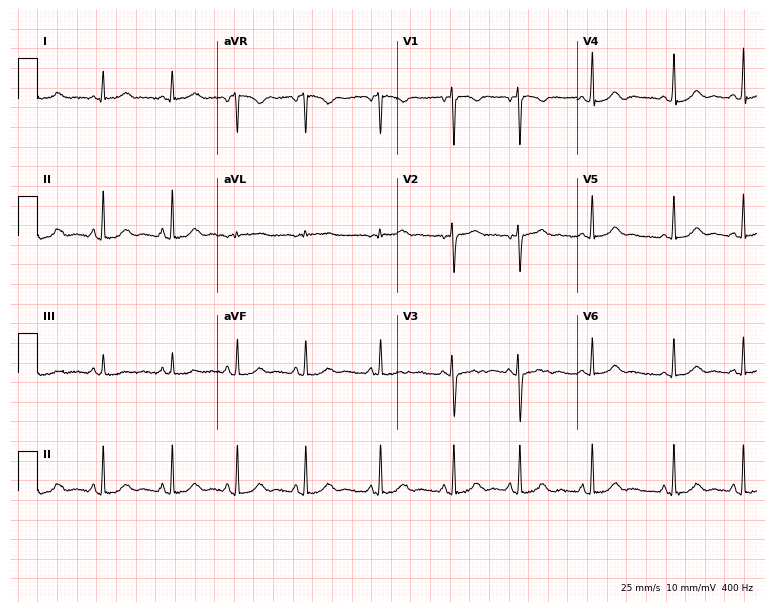
ECG — a 20-year-old female. Screened for six findings — first-degree AV block, right bundle branch block, left bundle branch block, sinus bradycardia, atrial fibrillation, sinus tachycardia — none is recorded.